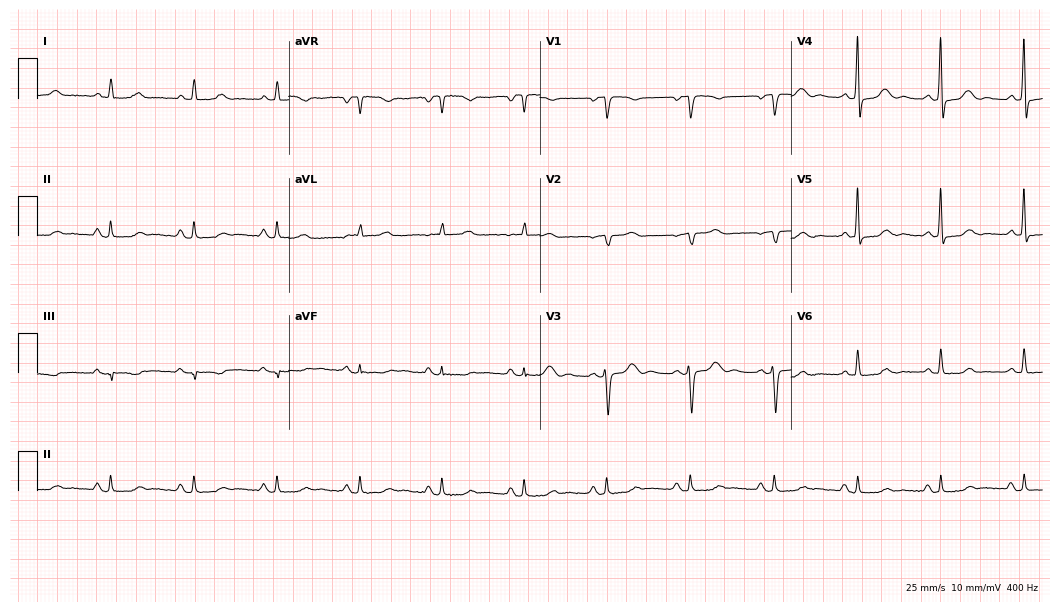
Electrocardiogram, a 67-year-old woman. Of the six screened findings (first-degree AV block, right bundle branch block (RBBB), left bundle branch block (LBBB), sinus bradycardia, atrial fibrillation (AF), sinus tachycardia), none is recorded. Findings outside these six are not listed.